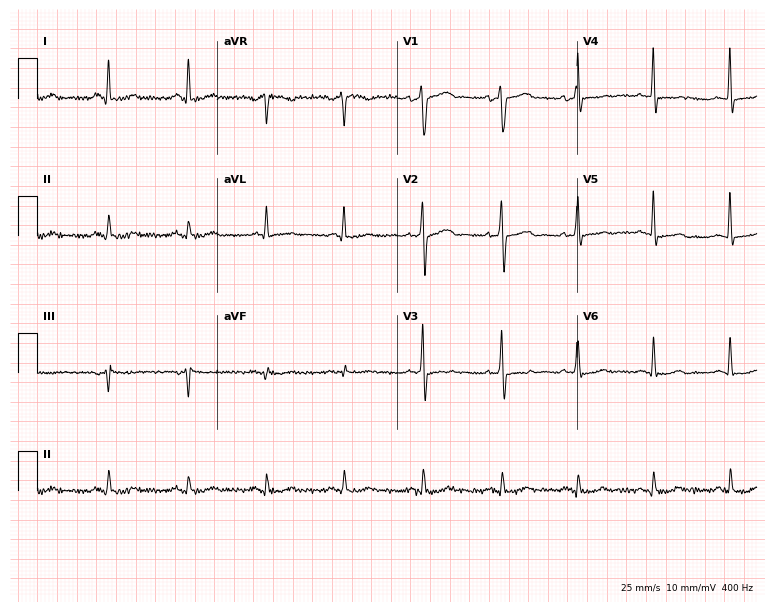
Resting 12-lead electrocardiogram. Patient: a 63-year-old female. None of these six findings is recorded: first-degree AV block, right bundle branch block, left bundle branch block, sinus bradycardia, atrial fibrillation, sinus tachycardia.